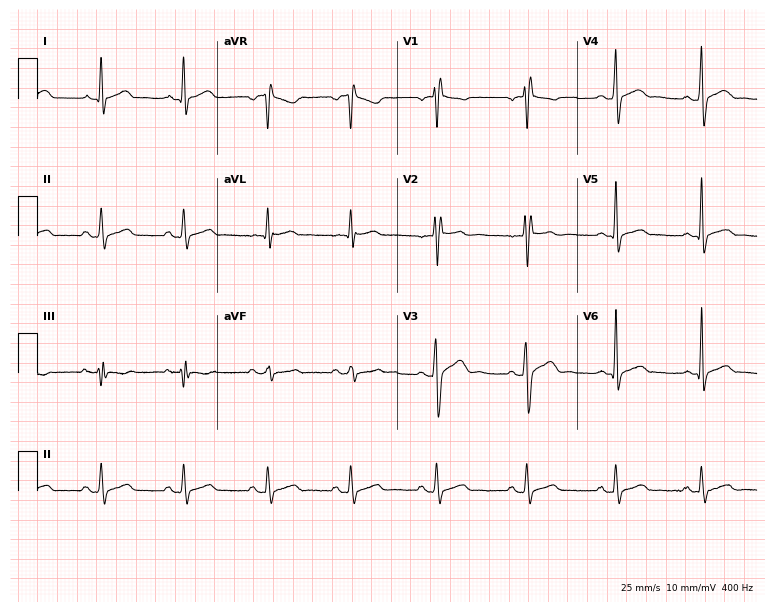
ECG — a 24-year-old male. Screened for six findings — first-degree AV block, right bundle branch block (RBBB), left bundle branch block (LBBB), sinus bradycardia, atrial fibrillation (AF), sinus tachycardia — none is recorded.